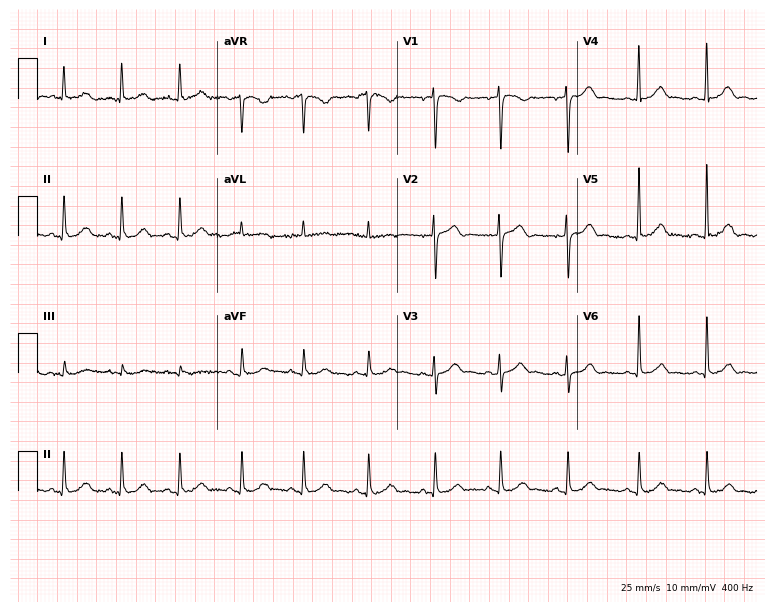
Standard 12-lead ECG recorded from a 43-year-old female patient. Read as a normal ECG.